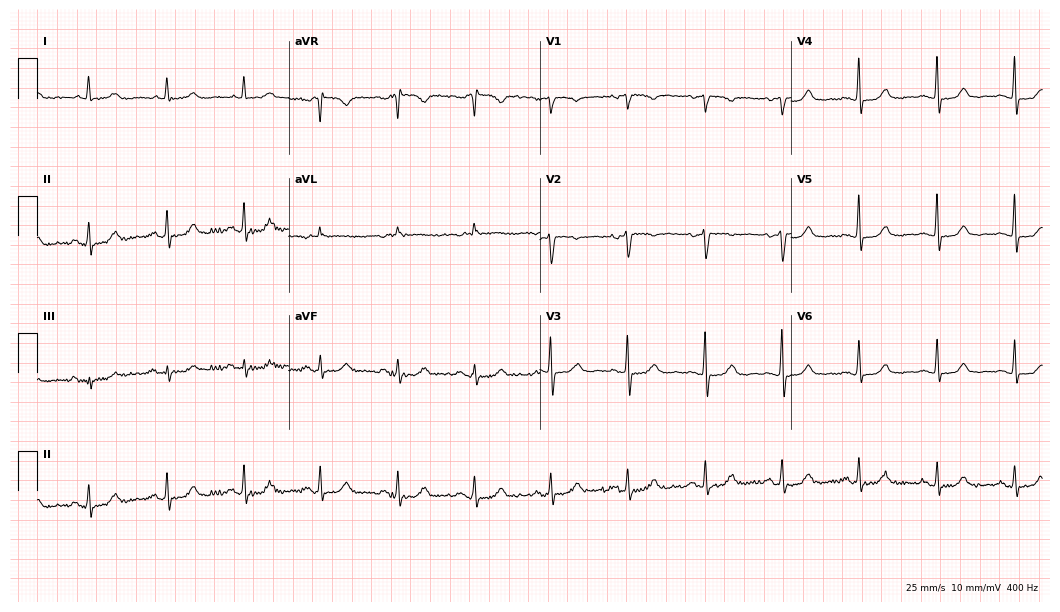
Standard 12-lead ECG recorded from a woman, 78 years old. None of these six findings is recorded: first-degree AV block, right bundle branch block (RBBB), left bundle branch block (LBBB), sinus bradycardia, atrial fibrillation (AF), sinus tachycardia.